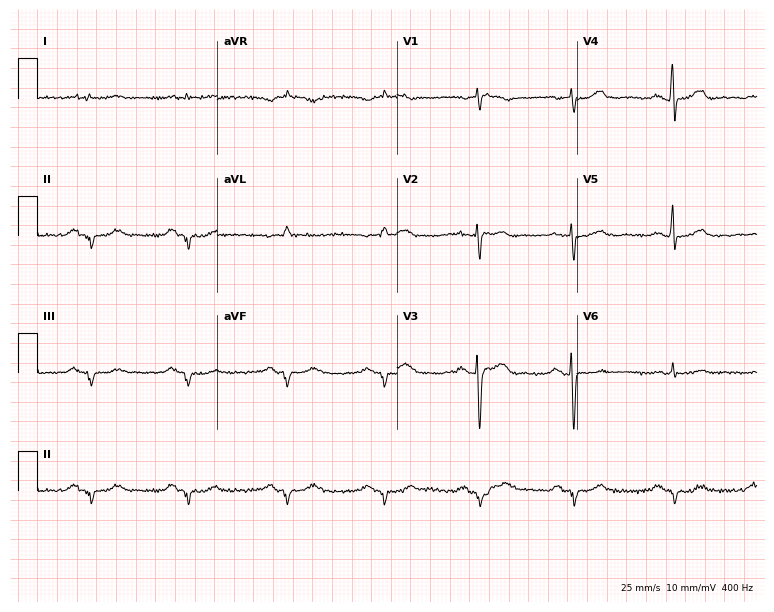
12-lead ECG from a 77-year-old man. Screened for six findings — first-degree AV block, right bundle branch block, left bundle branch block, sinus bradycardia, atrial fibrillation, sinus tachycardia — none is recorded.